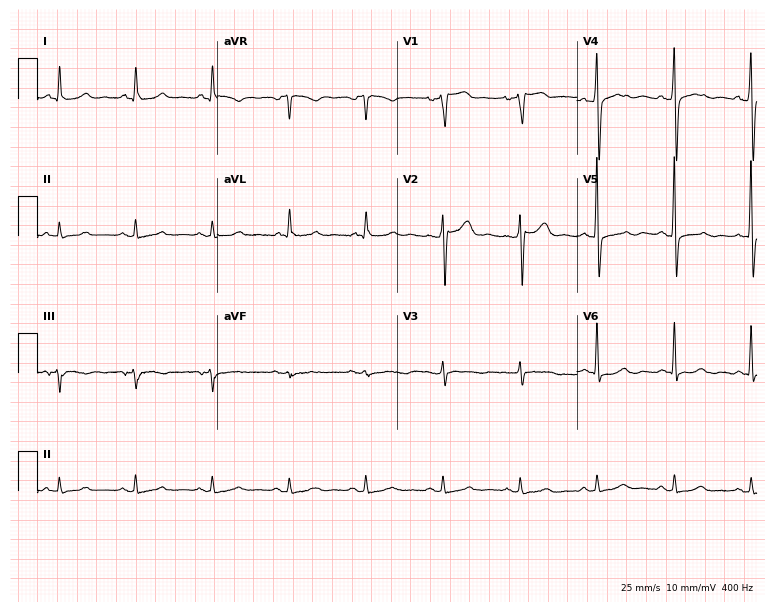
ECG (7.3-second recording at 400 Hz) — a male patient, 68 years old. Screened for six findings — first-degree AV block, right bundle branch block (RBBB), left bundle branch block (LBBB), sinus bradycardia, atrial fibrillation (AF), sinus tachycardia — none is recorded. Only these six findings were labelled.